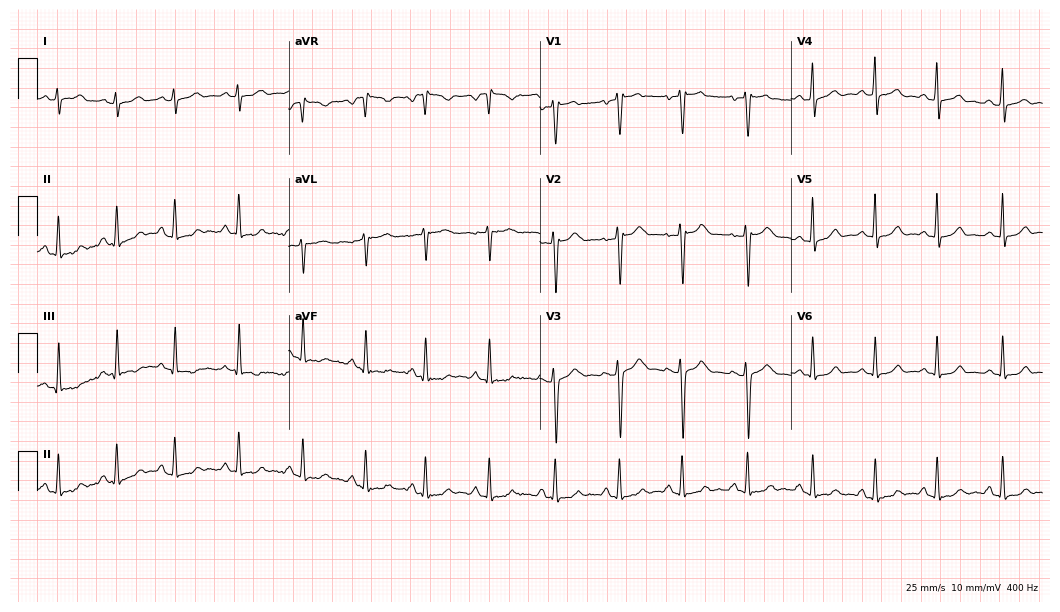
Standard 12-lead ECG recorded from a 19-year-old woman (10.2-second recording at 400 Hz). None of these six findings is recorded: first-degree AV block, right bundle branch block (RBBB), left bundle branch block (LBBB), sinus bradycardia, atrial fibrillation (AF), sinus tachycardia. Other findings, if any, are not listed.